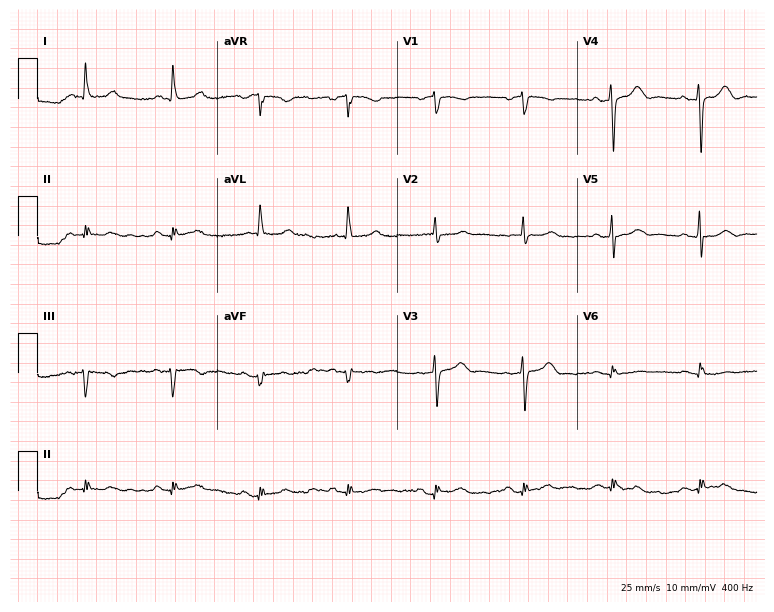
12-lead ECG from an 81-year-old female (7.3-second recording at 400 Hz). Recorded interpretation: within normal limits.